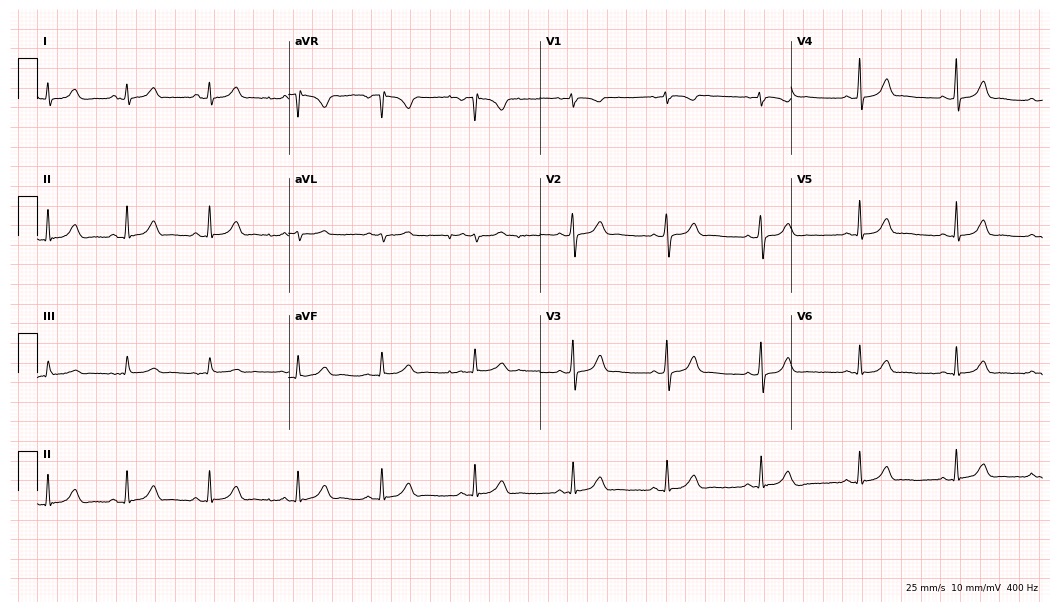
Electrocardiogram, a 22-year-old female. Of the six screened findings (first-degree AV block, right bundle branch block, left bundle branch block, sinus bradycardia, atrial fibrillation, sinus tachycardia), none is recorded.